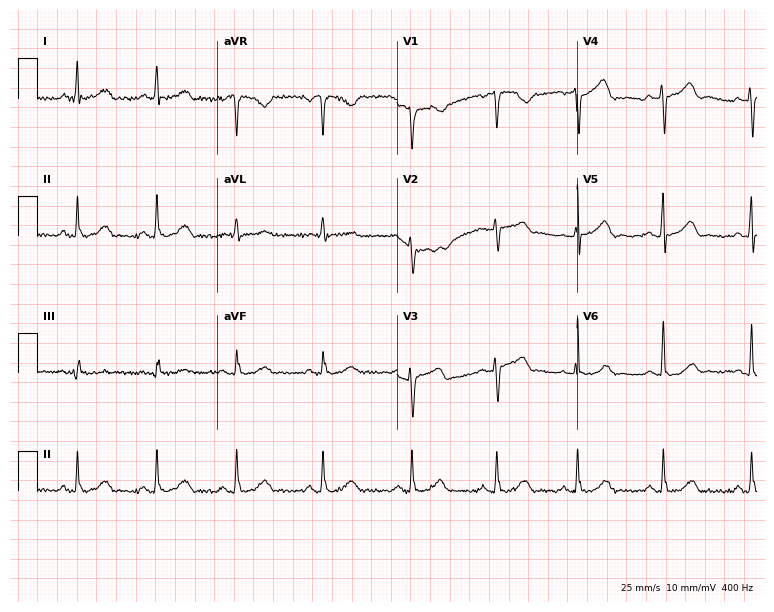
Resting 12-lead electrocardiogram. Patient: a female, 48 years old. None of these six findings is recorded: first-degree AV block, right bundle branch block, left bundle branch block, sinus bradycardia, atrial fibrillation, sinus tachycardia.